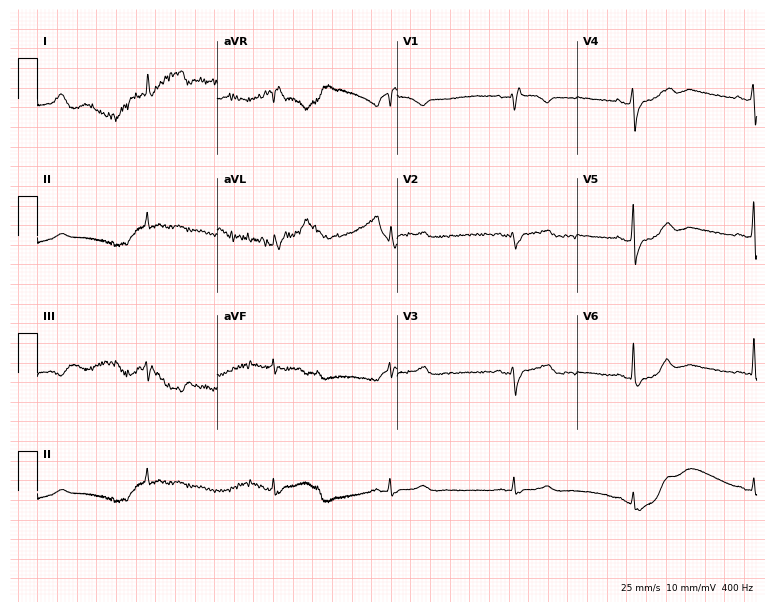
Electrocardiogram, a 44-year-old female patient. Of the six screened findings (first-degree AV block, right bundle branch block, left bundle branch block, sinus bradycardia, atrial fibrillation, sinus tachycardia), none is recorded. Findings outside these six are not listed.